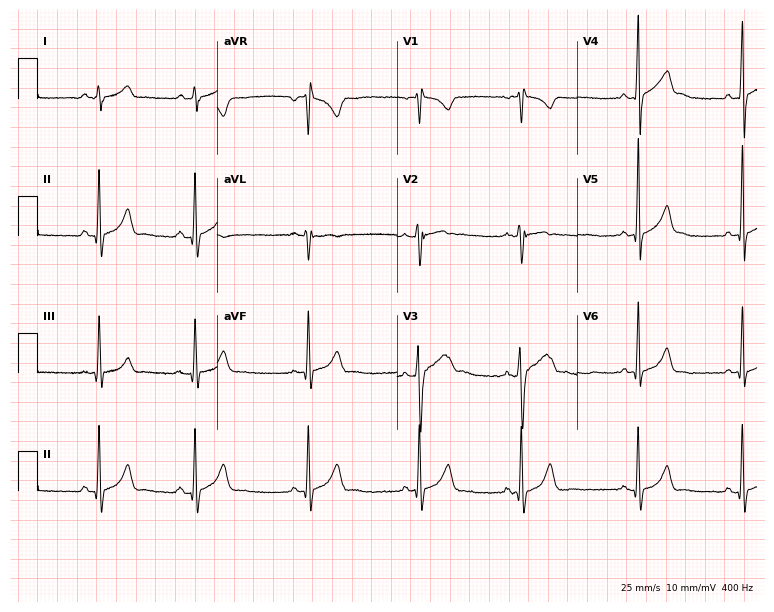
12-lead ECG (7.3-second recording at 400 Hz) from a 33-year-old male. Screened for six findings — first-degree AV block, right bundle branch block (RBBB), left bundle branch block (LBBB), sinus bradycardia, atrial fibrillation (AF), sinus tachycardia — none is recorded.